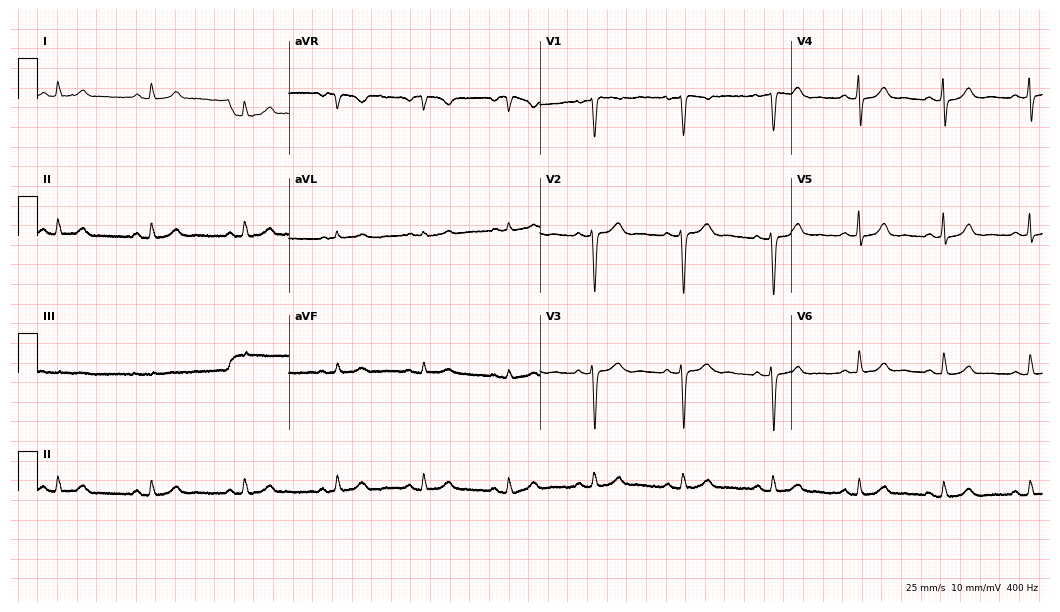
ECG (10.2-second recording at 400 Hz) — a female patient, 40 years old. Labelled as a normal ECG.